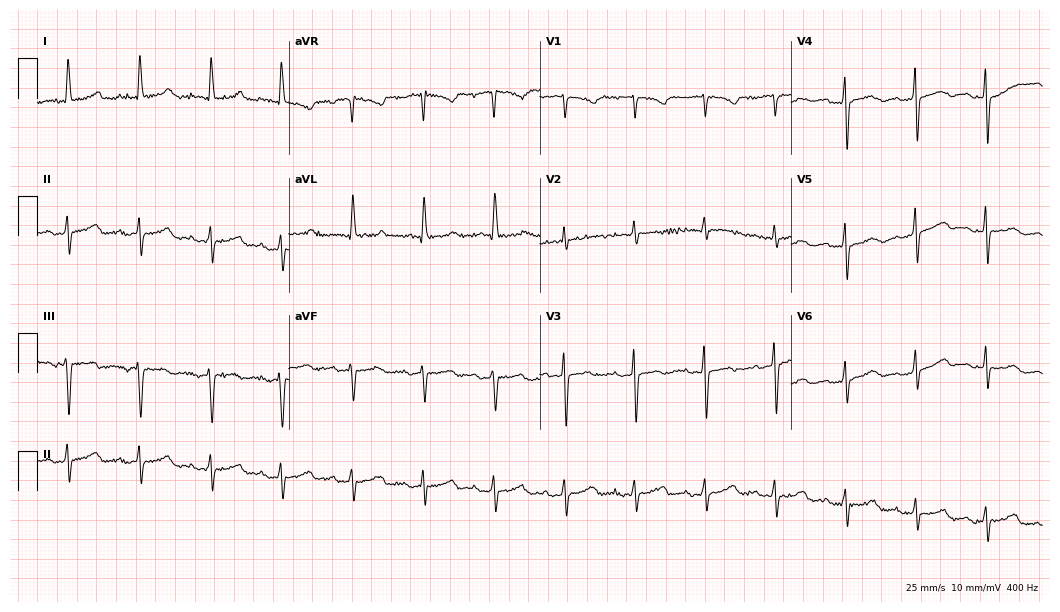
12-lead ECG from a woman, 70 years old. No first-degree AV block, right bundle branch block, left bundle branch block, sinus bradycardia, atrial fibrillation or sinus tachycardia recorded for this tracing.